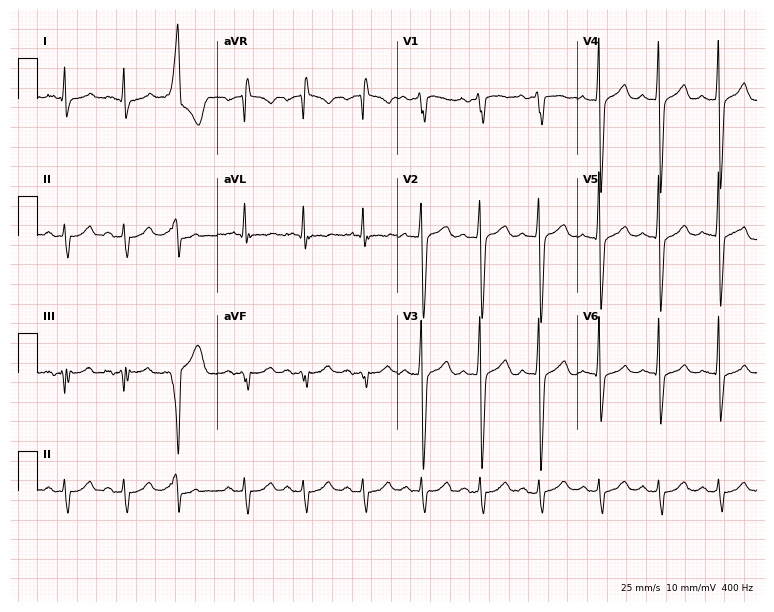
ECG — an 83-year-old man. Screened for six findings — first-degree AV block, right bundle branch block, left bundle branch block, sinus bradycardia, atrial fibrillation, sinus tachycardia — none is recorded. Other findings, if any, are not listed.